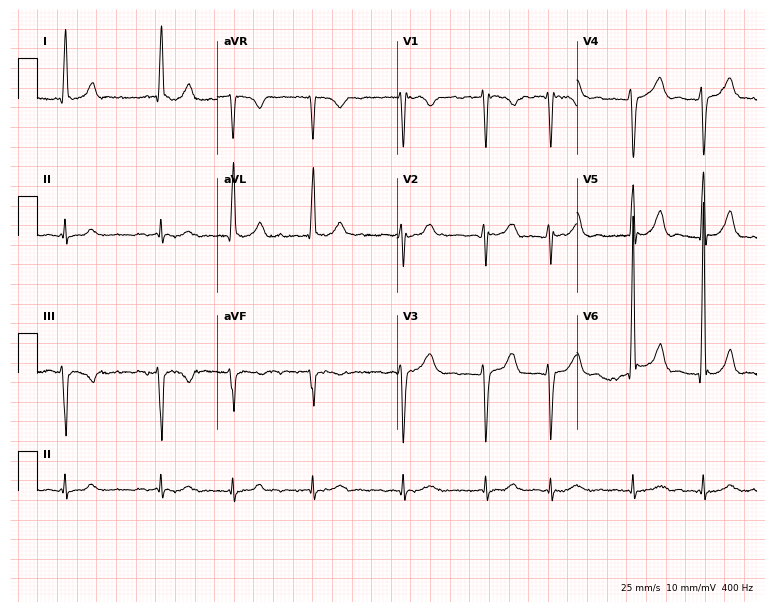
12-lead ECG from a male, 74 years old. Findings include atrial fibrillation.